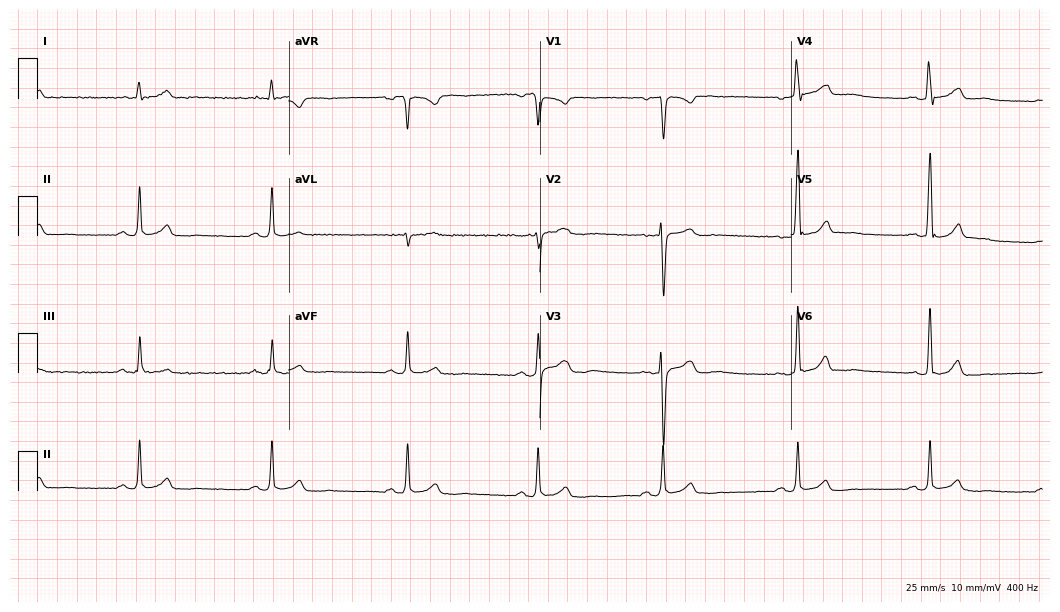
ECG (10.2-second recording at 400 Hz) — a male, 49 years old. Findings include sinus bradycardia (a sinus rate of 50 beats per minute or less).